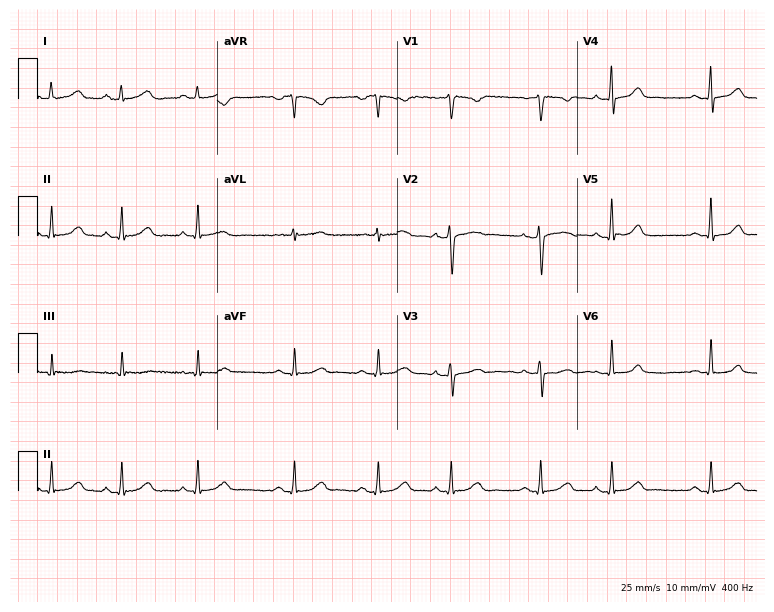
Electrocardiogram, a 34-year-old woman. Of the six screened findings (first-degree AV block, right bundle branch block, left bundle branch block, sinus bradycardia, atrial fibrillation, sinus tachycardia), none is recorded. Other findings, if any, are not listed.